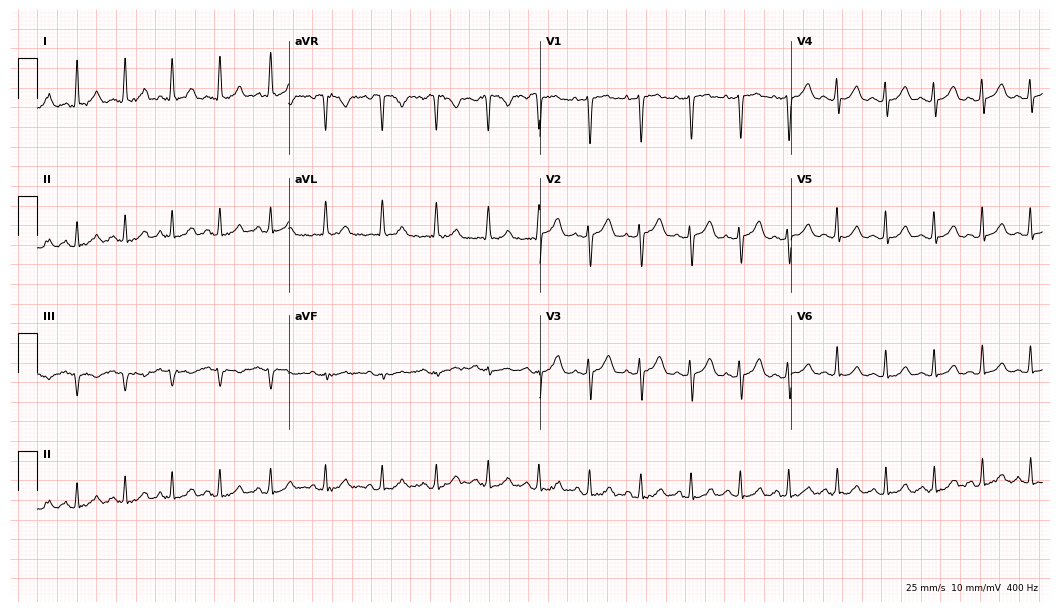
Standard 12-lead ECG recorded from a female patient, 19 years old (10.2-second recording at 400 Hz). The tracing shows sinus tachycardia (a sinus rate of 100 beats per minute or more).